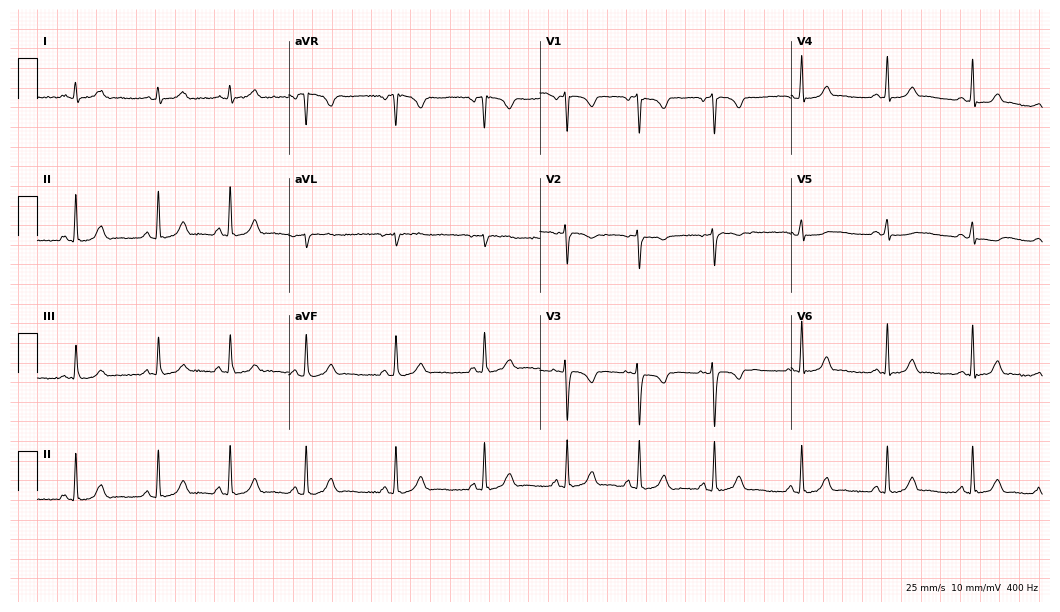
12-lead ECG from a female patient, 26 years old. Labelled as a normal ECG.